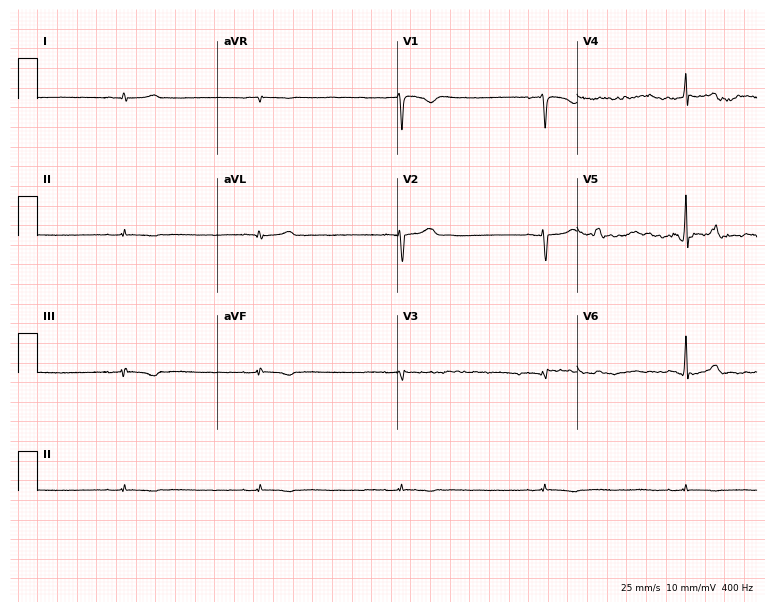
12-lead ECG from a 23-year-old female (7.3-second recording at 400 Hz). No first-degree AV block, right bundle branch block, left bundle branch block, sinus bradycardia, atrial fibrillation or sinus tachycardia recorded for this tracing.